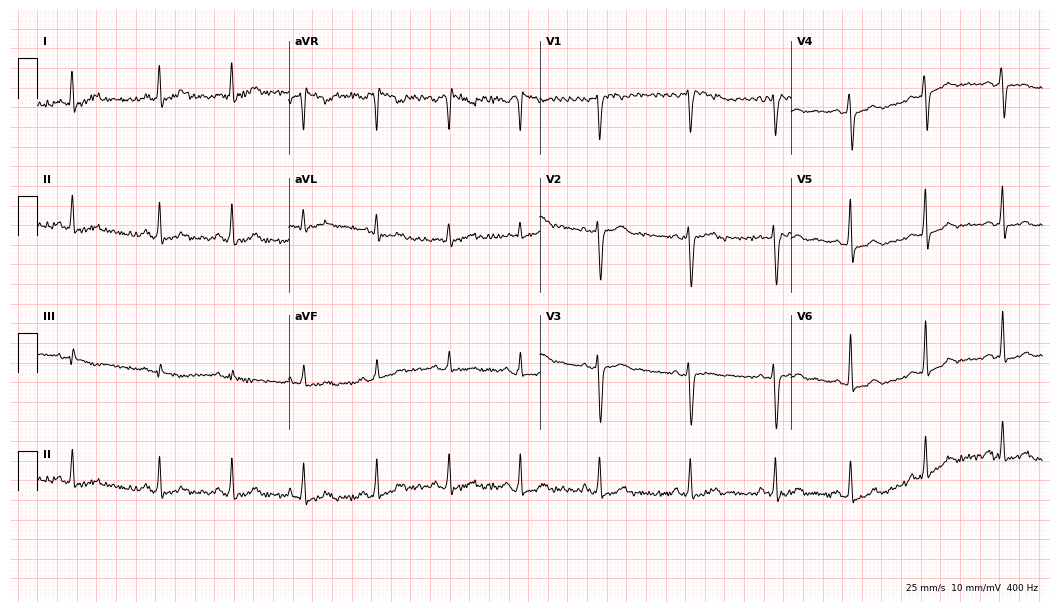
Resting 12-lead electrocardiogram. Patient: a female, 28 years old. None of these six findings is recorded: first-degree AV block, right bundle branch block, left bundle branch block, sinus bradycardia, atrial fibrillation, sinus tachycardia. Other findings, if any, are not listed.